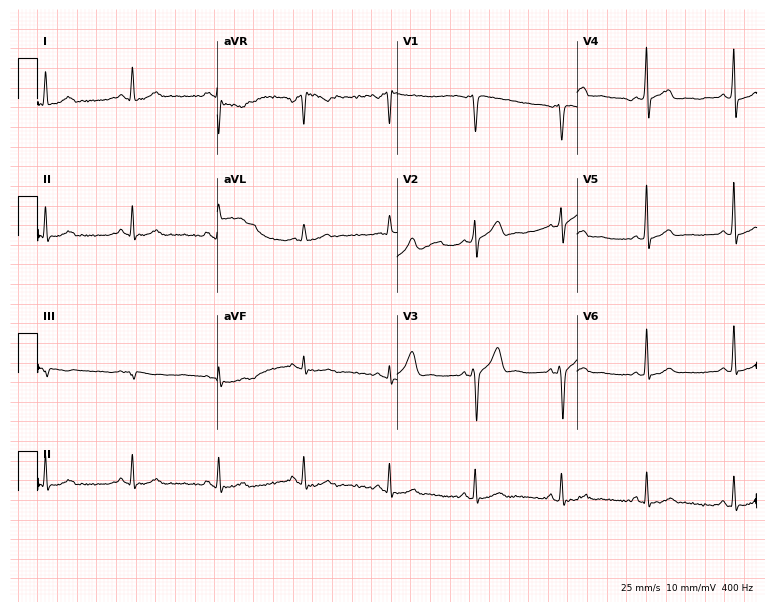
Electrocardiogram (7.3-second recording at 400 Hz), a 51-year-old male. Of the six screened findings (first-degree AV block, right bundle branch block, left bundle branch block, sinus bradycardia, atrial fibrillation, sinus tachycardia), none is recorded.